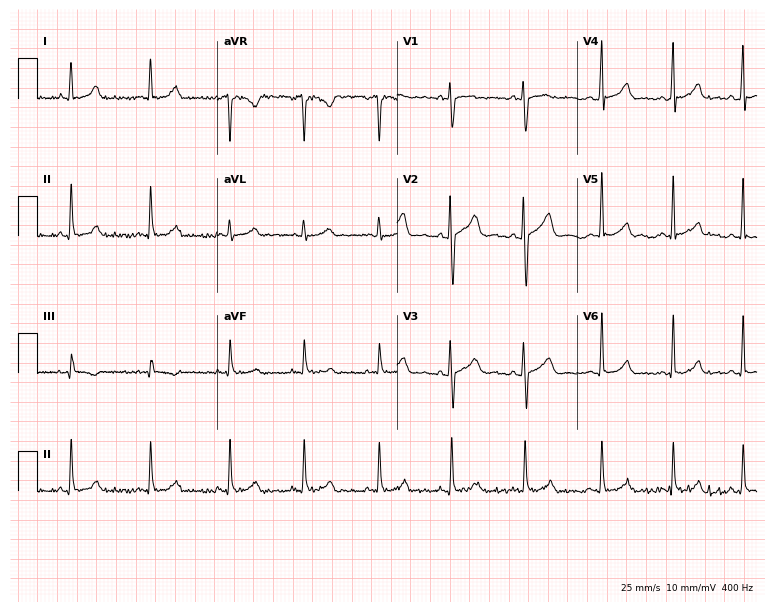
ECG (7.3-second recording at 400 Hz) — a 27-year-old female. Labelled as a normal ECG.